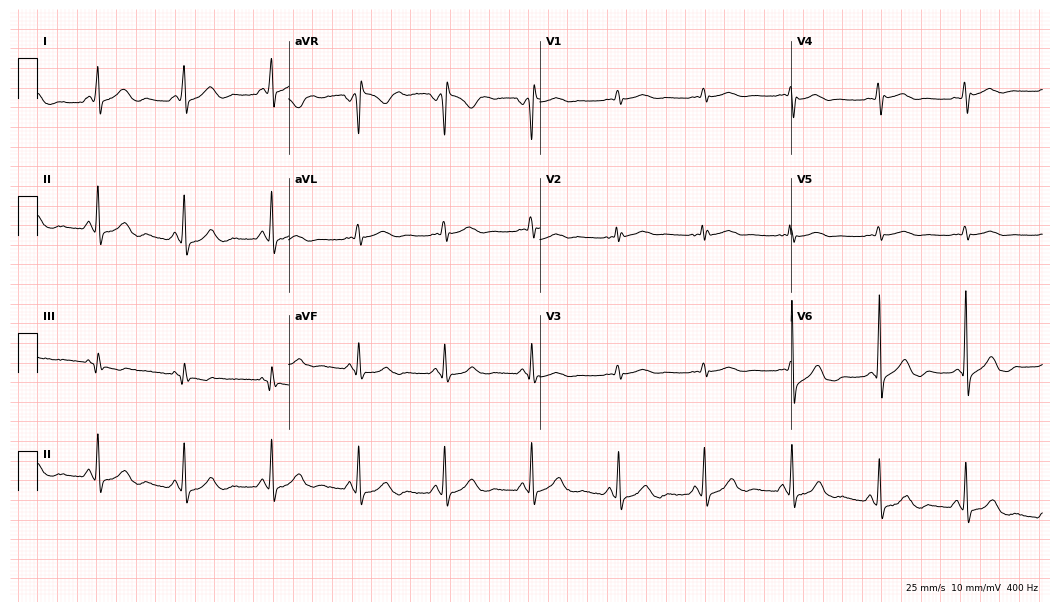
Resting 12-lead electrocardiogram (10.2-second recording at 400 Hz). Patient: a 50-year-old female. None of these six findings is recorded: first-degree AV block, right bundle branch block (RBBB), left bundle branch block (LBBB), sinus bradycardia, atrial fibrillation (AF), sinus tachycardia.